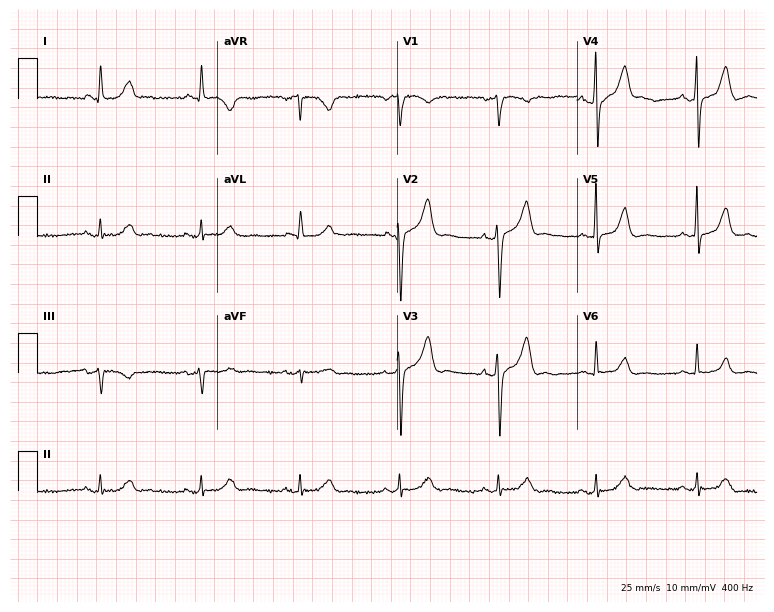
12-lead ECG from a female patient, 57 years old. Screened for six findings — first-degree AV block, right bundle branch block, left bundle branch block, sinus bradycardia, atrial fibrillation, sinus tachycardia — none is recorded.